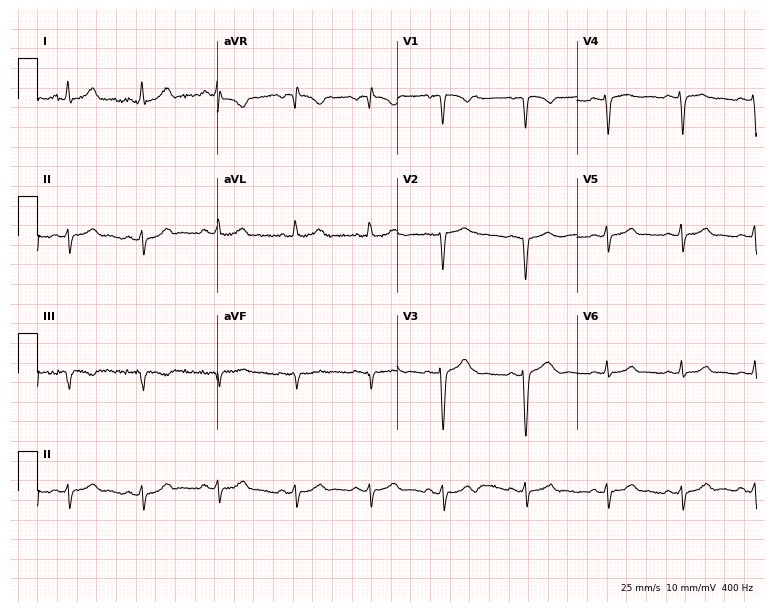
Standard 12-lead ECG recorded from a female patient, 19 years old. None of these six findings is recorded: first-degree AV block, right bundle branch block, left bundle branch block, sinus bradycardia, atrial fibrillation, sinus tachycardia. Findings outside these six are not listed.